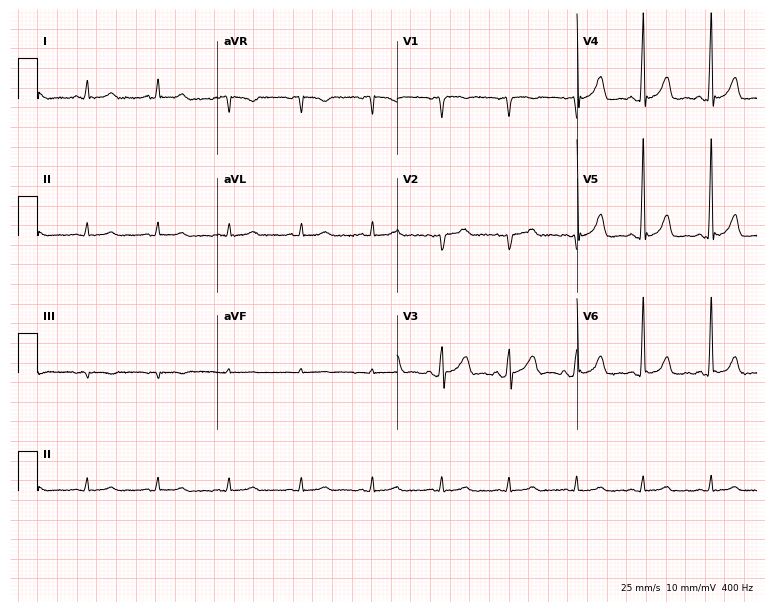
Standard 12-lead ECG recorded from a 42-year-old man (7.3-second recording at 400 Hz). Read as a normal ECG.